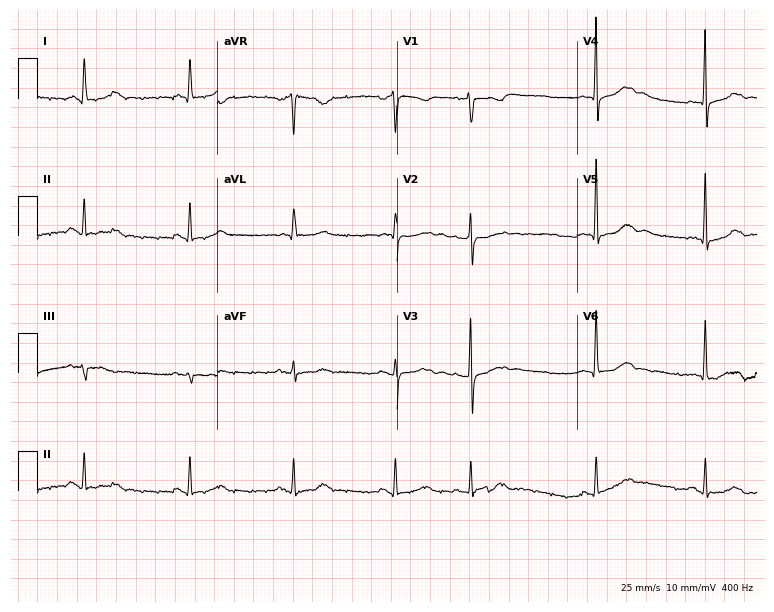
Electrocardiogram, an 80-year-old woman. Overall reading on record: normal ECG.